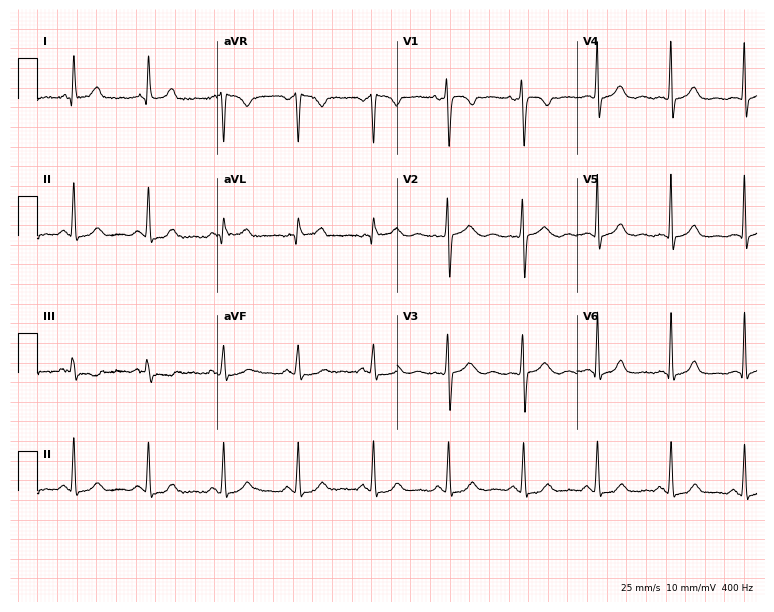
ECG — a female patient, 40 years old. Screened for six findings — first-degree AV block, right bundle branch block, left bundle branch block, sinus bradycardia, atrial fibrillation, sinus tachycardia — none is recorded. Other findings, if any, are not listed.